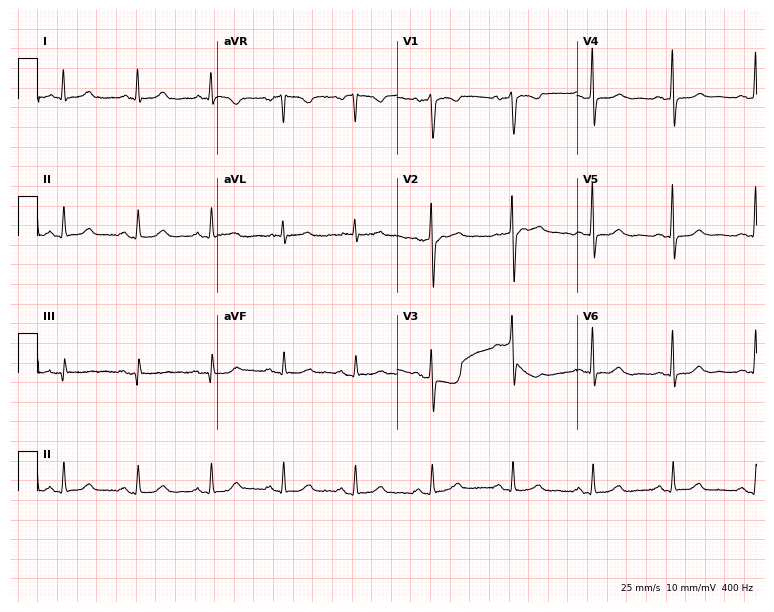
ECG (7.3-second recording at 400 Hz) — a female patient, 63 years old. Labelled as a normal ECG.